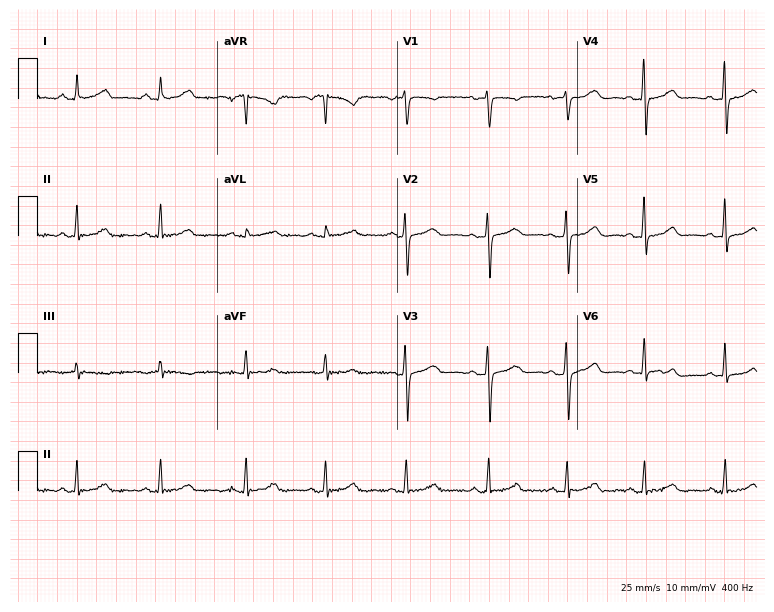
12-lead ECG from a 36-year-old female. Recorded interpretation: within normal limits.